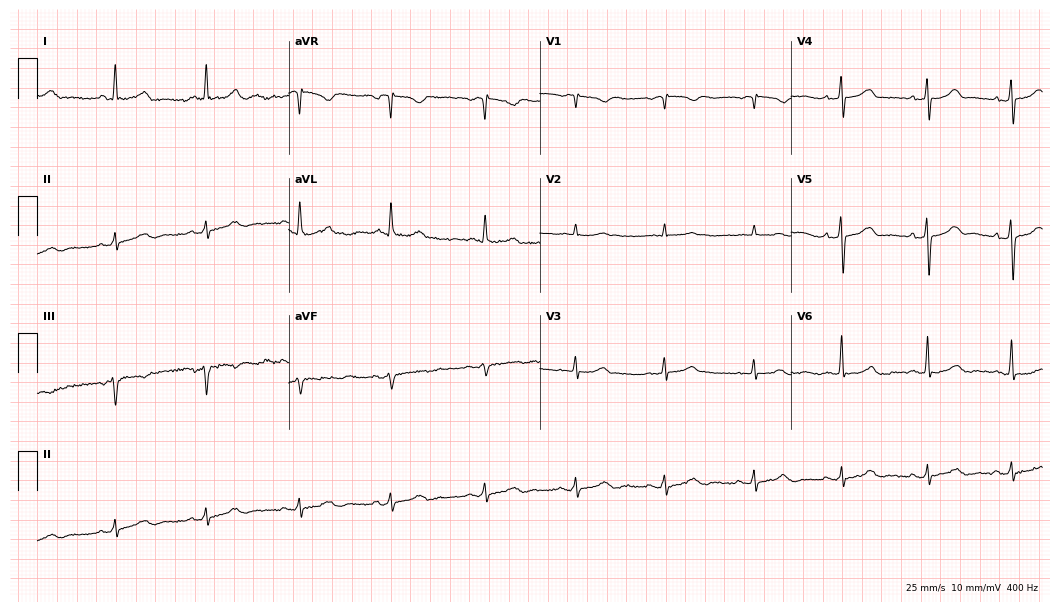
Resting 12-lead electrocardiogram. Patient: a 68-year-old woman. Read as a normal ECG.